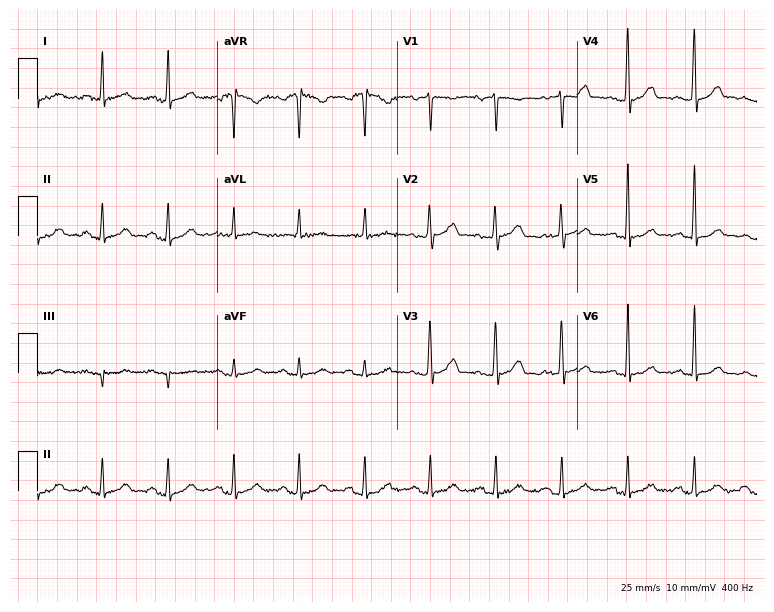
Electrocardiogram, a 52-year-old woman. Of the six screened findings (first-degree AV block, right bundle branch block (RBBB), left bundle branch block (LBBB), sinus bradycardia, atrial fibrillation (AF), sinus tachycardia), none is recorded. Only these six findings were labelled.